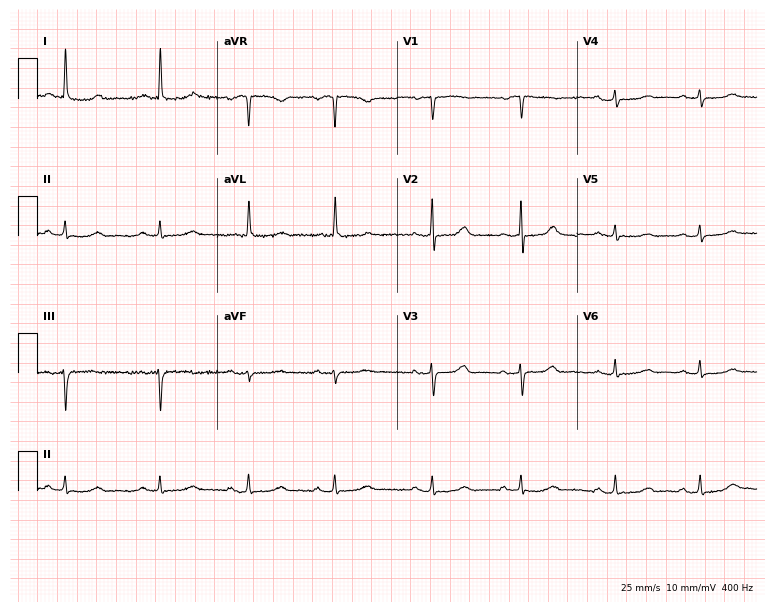
Resting 12-lead electrocardiogram (7.3-second recording at 400 Hz). Patient: an 83-year-old woman. Read as a normal ECG.